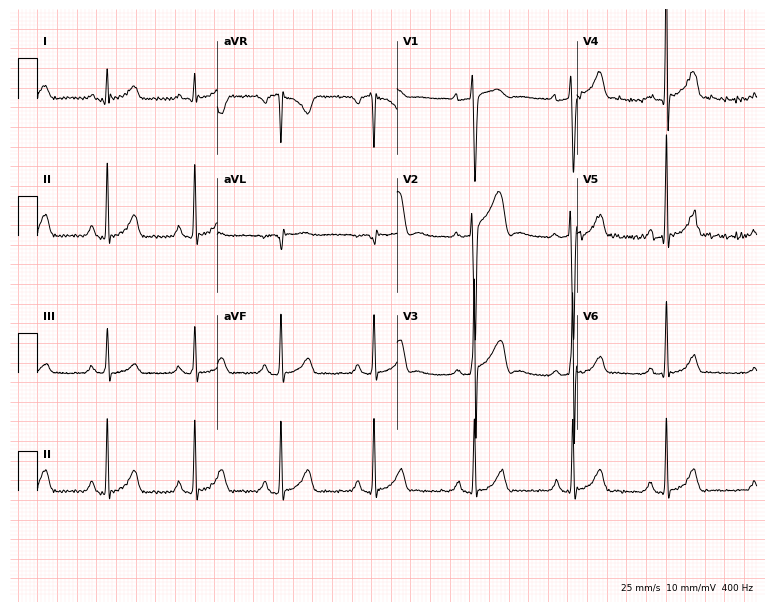
12-lead ECG (7.3-second recording at 400 Hz) from a male patient, 23 years old. Labelled as a normal ECG.